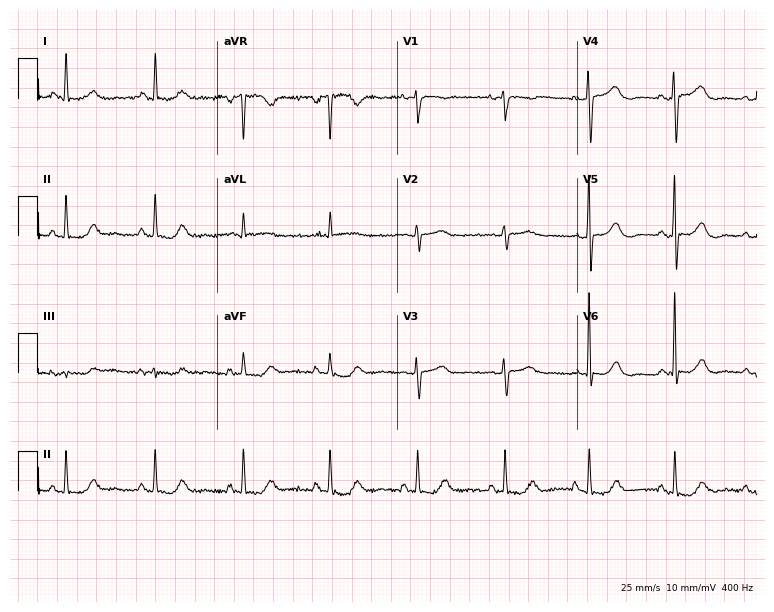
Electrocardiogram (7.3-second recording at 400 Hz), a woman, 69 years old. Of the six screened findings (first-degree AV block, right bundle branch block, left bundle branch block, sinus bradycardia, atrial fibrillation, sinus tachycardia), none is recorded. Findings outside these six are not listed.